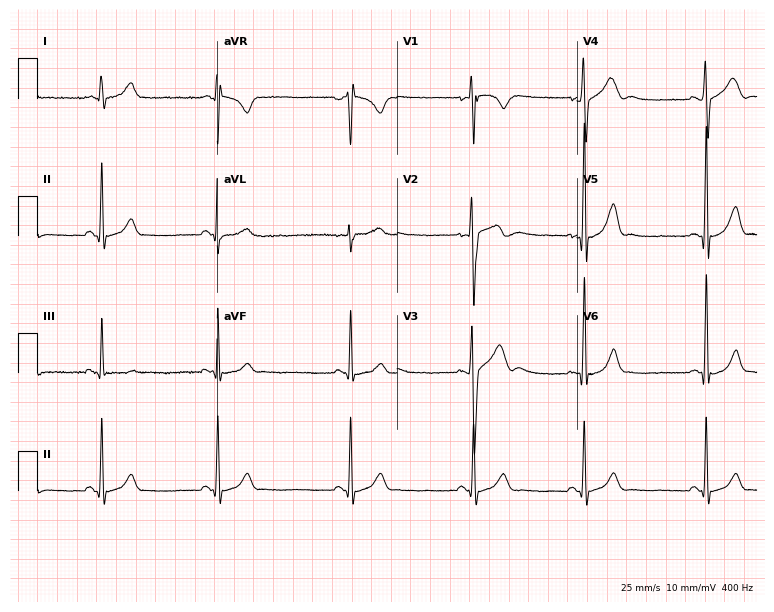
ECG (7.3-second recording at 400 Hz) — a male patient, 22 years old. Labelled as a normal ECG.